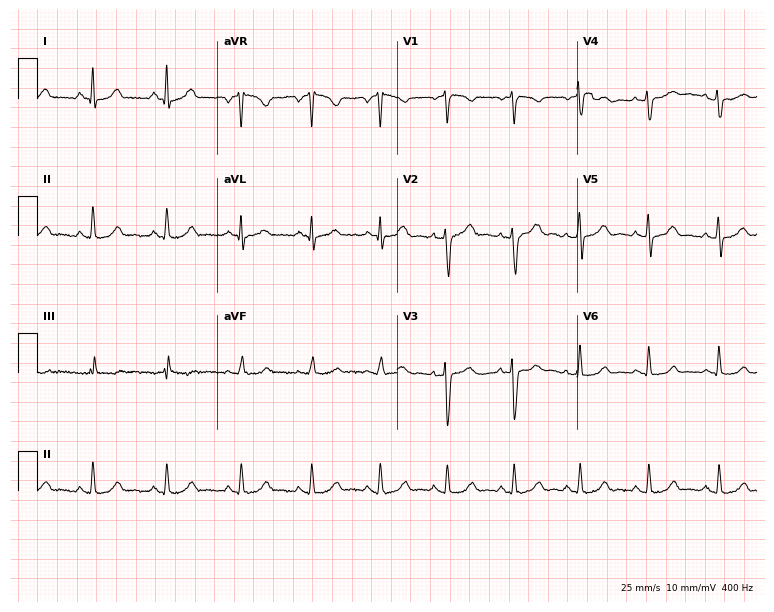
Electrocardiogram, a 44-year-old female patient. Overall reading on record: normal ECG.